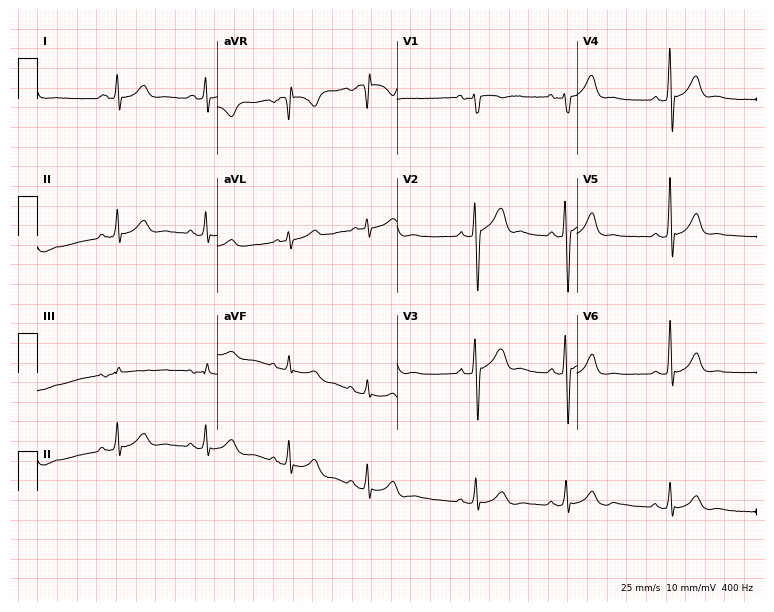
Electrocardiogram, a 24-year-old male patient. Of the six screened findings (first-degree AV block, right bundle branch block (RBBB), left bundle branch block (LBBB), sinus bradycardia, atrial fibrillation (AF), sinus tachycardia), none is recorded.